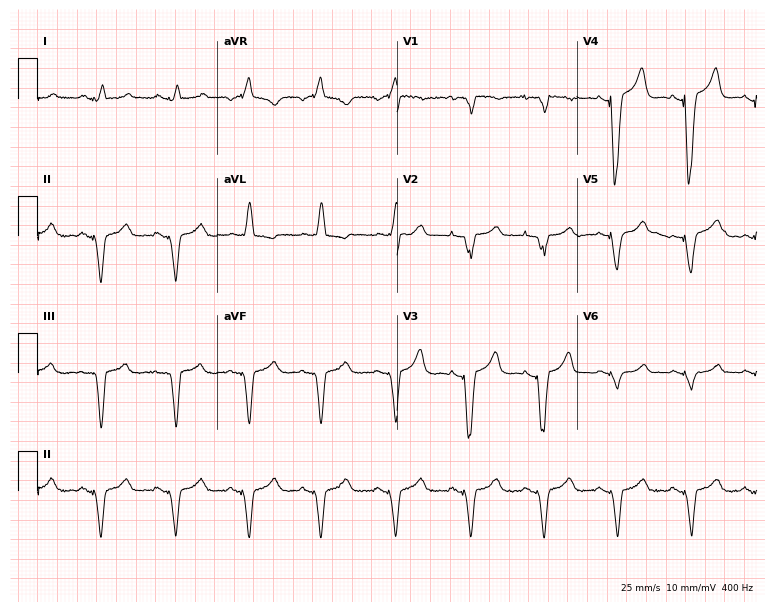
ECG (7.3-second recording at 400 Hz) — a female patient, 36 years old. Screened for six findings — first-degree AV block, right bundle branch block (RBBB), left bundle branch block (LBBB), sinus bradycardia, atrial fibrillation (AF), sinus tachycardia — none is recorded.